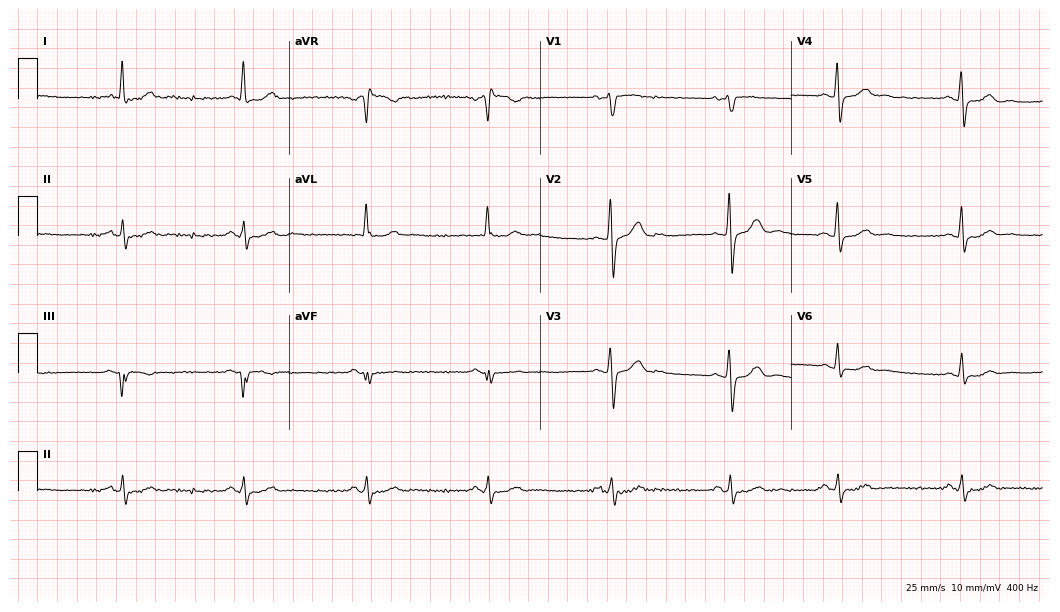
ECG (10.2-second recording at 400 Hz) — a 45-year-old man. Screened for six findings — first-degree AV block, right bundle branch block, left bundle branch block, sinus bradycardia, atrial fibrillation, sinus tachycardia — none is recorded.